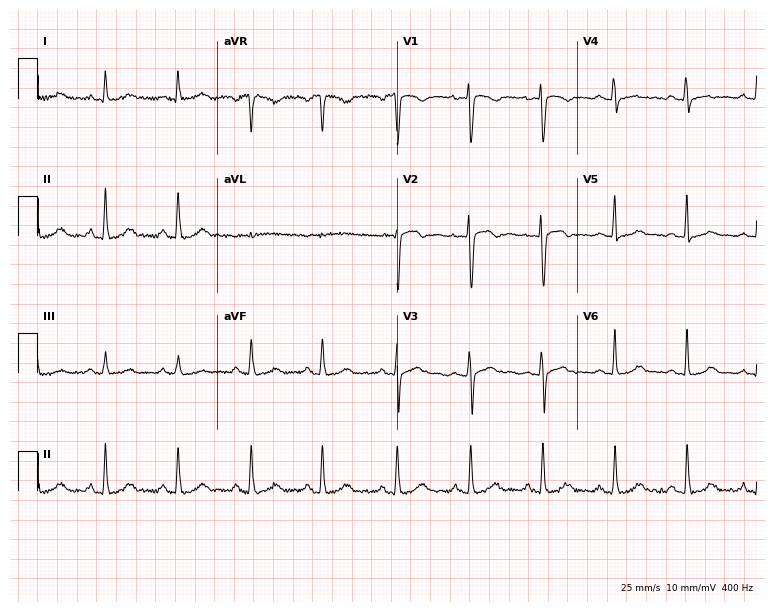
Electrocardiogram, a female patient, 41 years old. Overall reading on record: normal ECG.